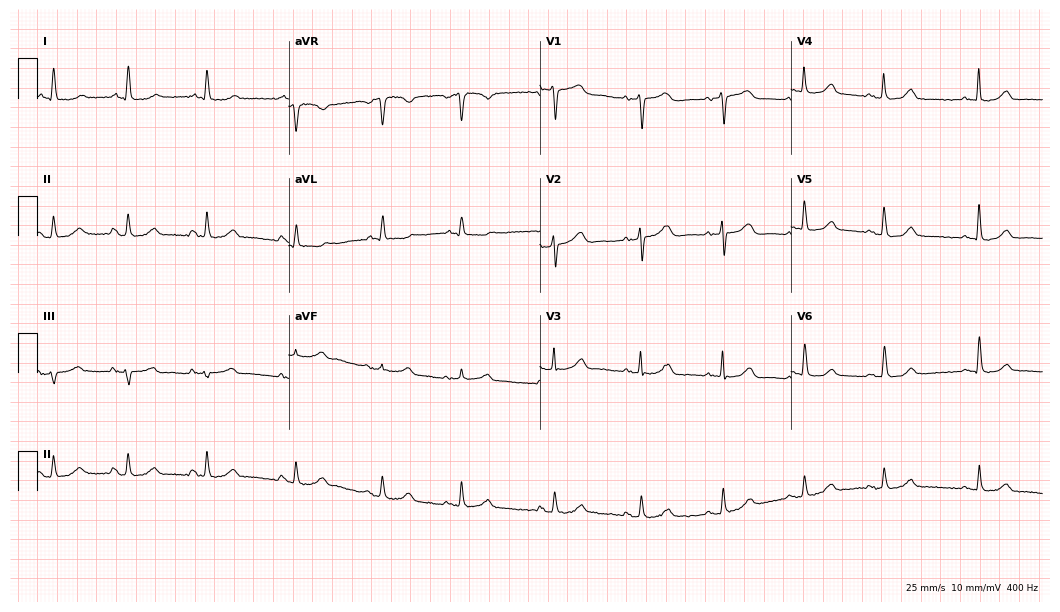
ECG — an 80-year-old woman. Labelled as a normal ECG.